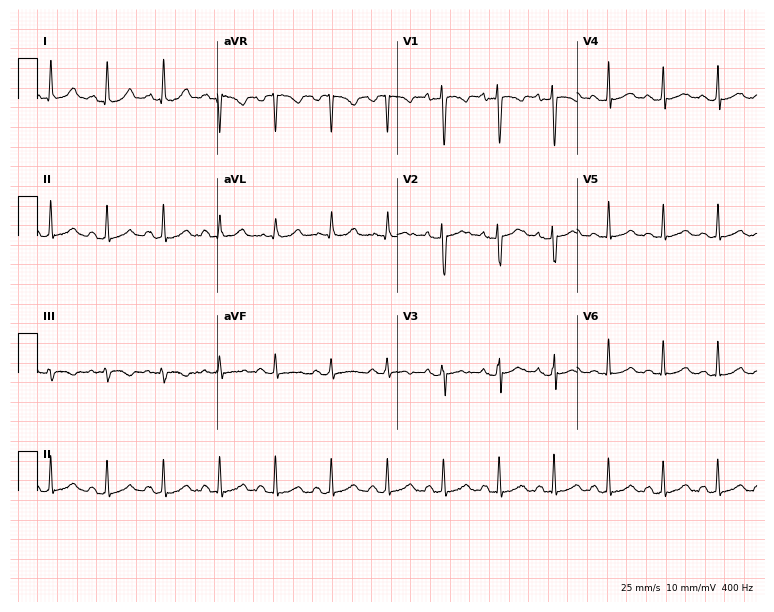
12-lead ECG from a woman, 34 years old. Findings include sinus tachycardia (a sinus rate of 100 beats per minute or more).